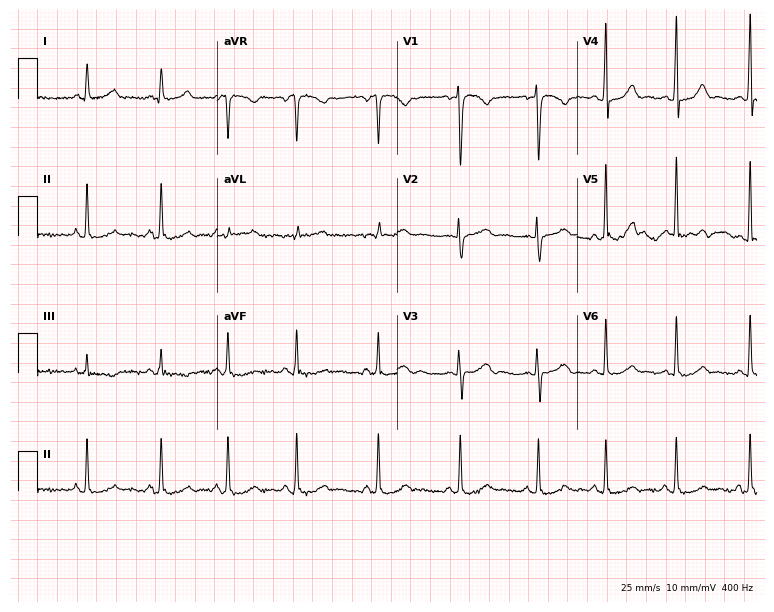
ECG — a 23-year-old woman. Labelled as a normal ECG.